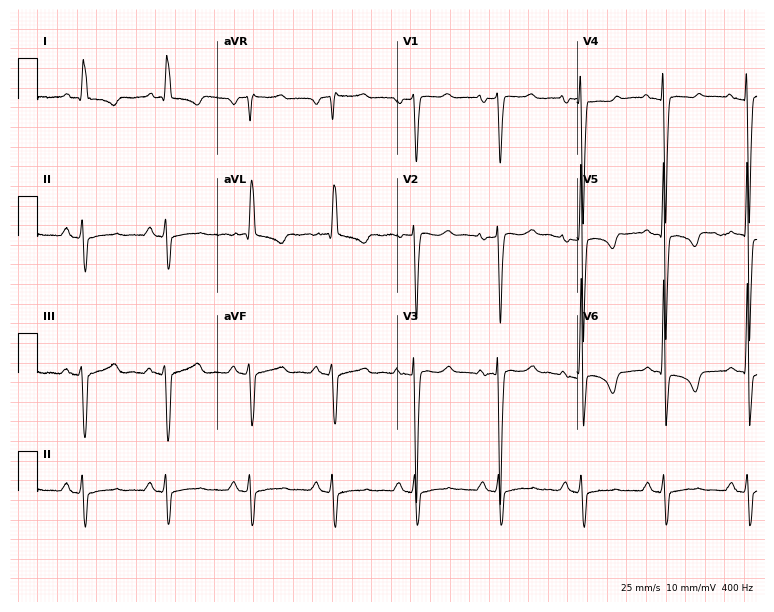
ECG (7.3-second recording at 400 Hz) — a 57-year-old female. Screened for six findings — first-degree AV block, right bundle branch block, left bundle branch block, sinus bradycardia, atrial fibrillation, sinus tachycardia — none is recorded.